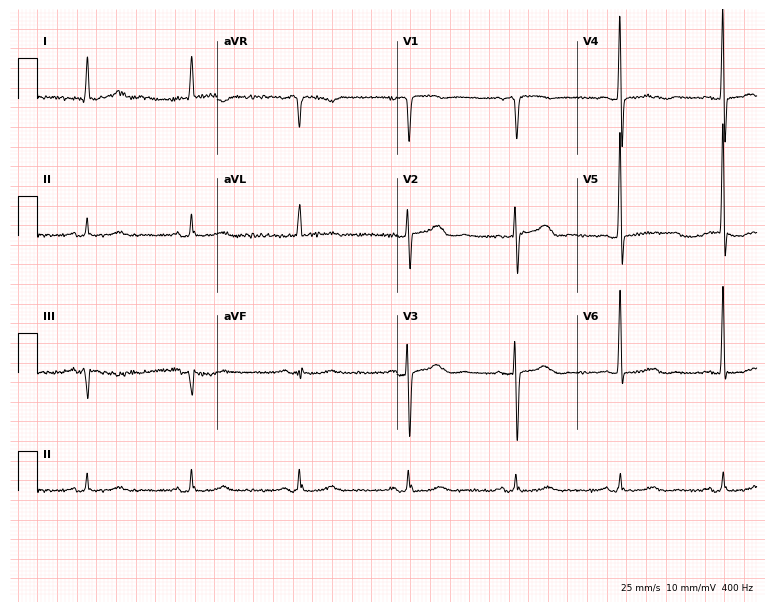
12-lead ECG from a 75-year-old female (7.3-second recording at 400 Hz). No first-degree AV block, right bundle branch block, left bundle branch block, sinus bradycardia, atrial fibrillation or sinus tachycardia recorded for this tracing. Other findings, if any, are not listed.